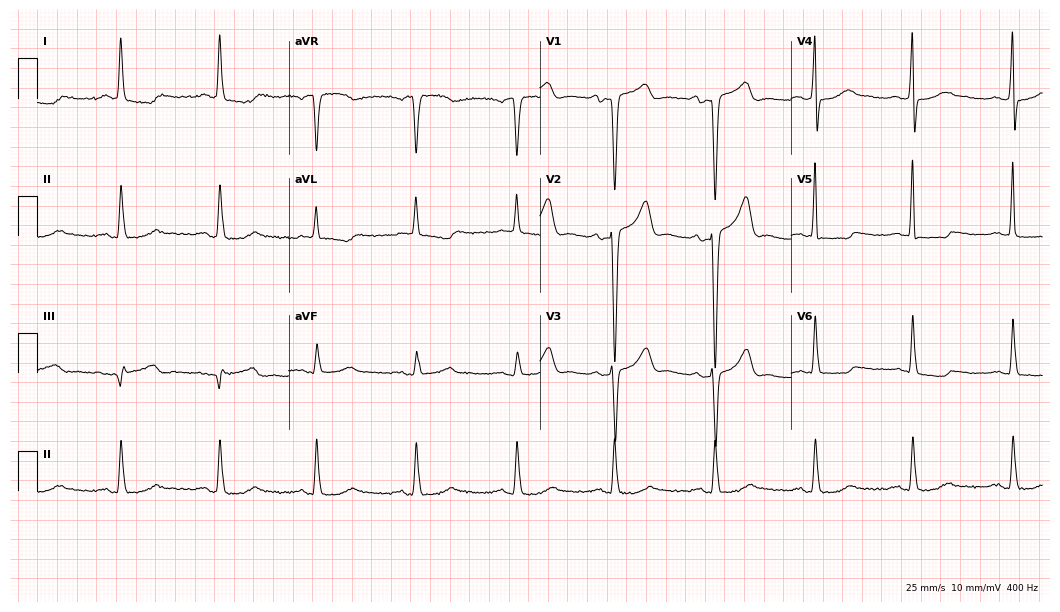
Resting 12-lead electrocardiogram. Patient: a male, 59 years old. None of these six findings is recorded: first-degree AV block, right bundle branch block, left bundle branch block, sinus bradycardia, atrial fibrillation, sinus tachycardia.